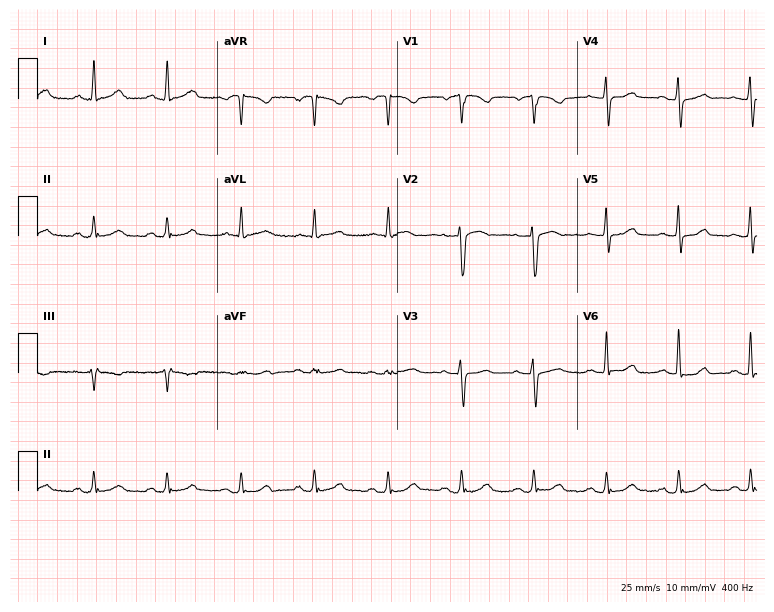
12-lead ECG from a female patient, 58 years old. Recorded interpretation: within normal limits.